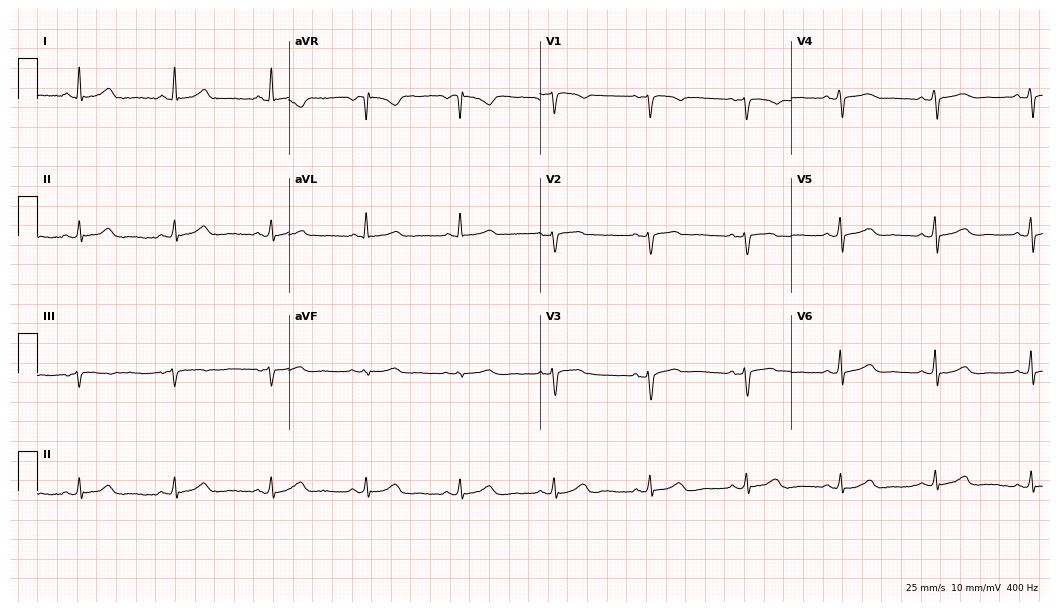
ECG (10.2-second recording at 400 Hz) — a female patient, 55 years old. Screened for six findings — first-degree AV block, right bundle branch block, left bundle branch block, sinus bradycardia, atrial fibrillation, sinus tachycardia — none is recorded.